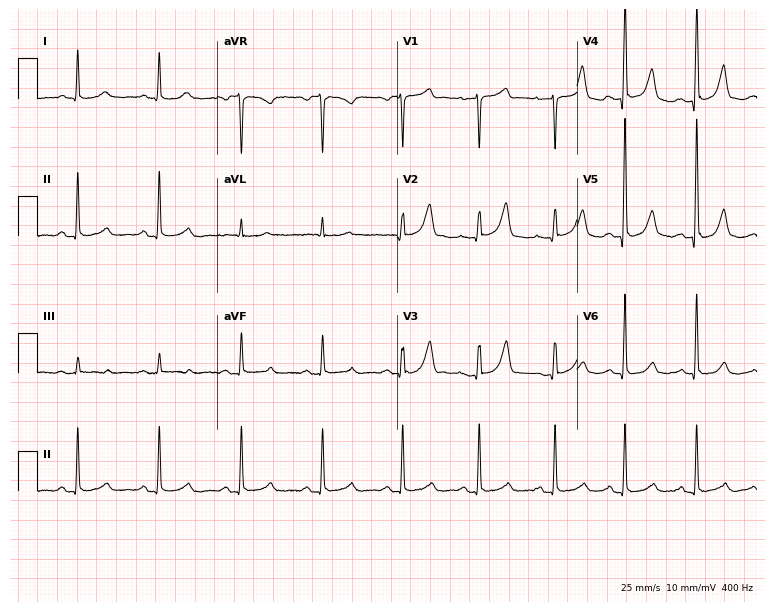
Resting 12-lead electrocardiogram (7.3-second recording at 400 Hz). Patient: a female, 50 years old. Read as a normal ECG.